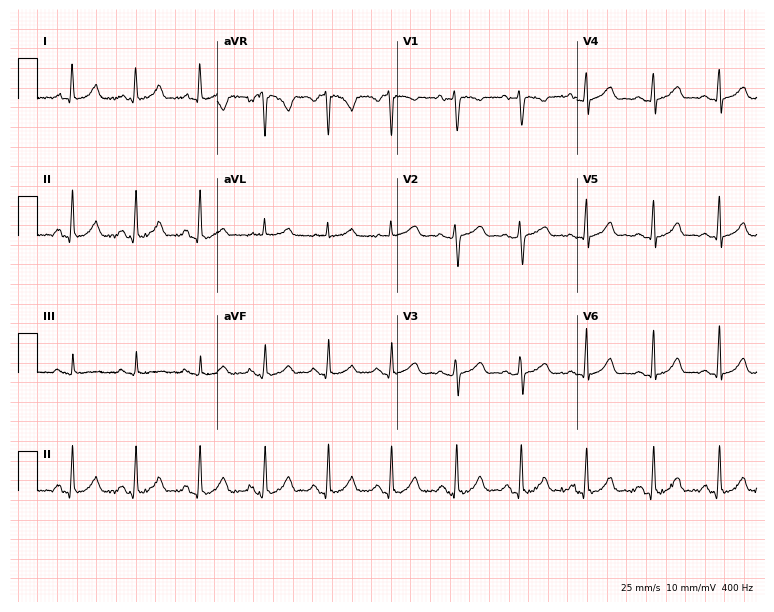
Standard 12-lead ECG recorded from a woman, 25 years old (7.3-second recording at 400 Hz). None of these six findings is recorded: first-degree AV block, right bundle branch block, left bundle branch block, sinus bradycardia, atrial fibrillation, sinus tachycardia.